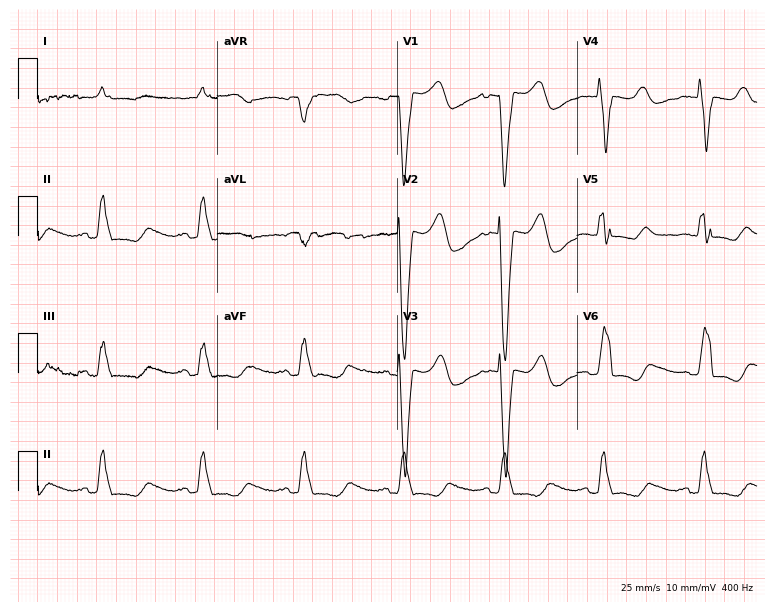
12-lead ECG from a 72-year-old female. Shows left bundle branch block.